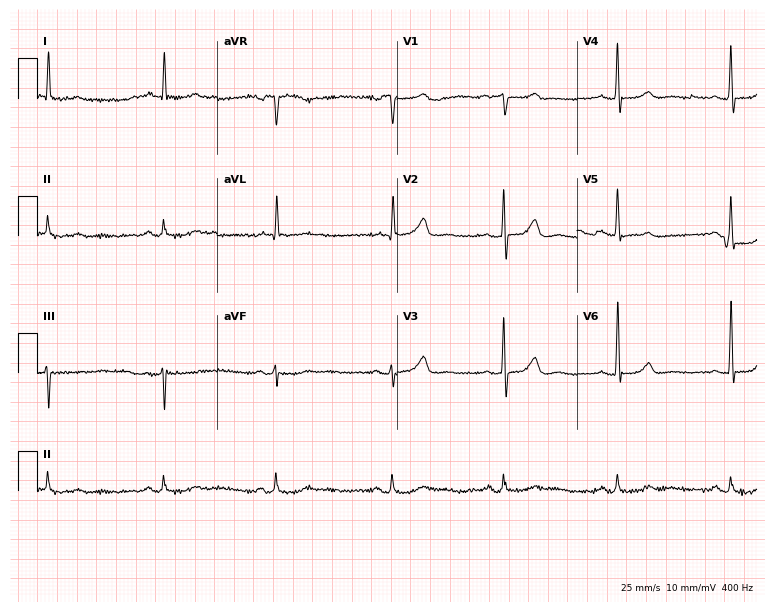
12-lead ECG from a female patient, 83 years old (7.3-second recording at 400 Hz). Recorded interpretation: within normal limits.